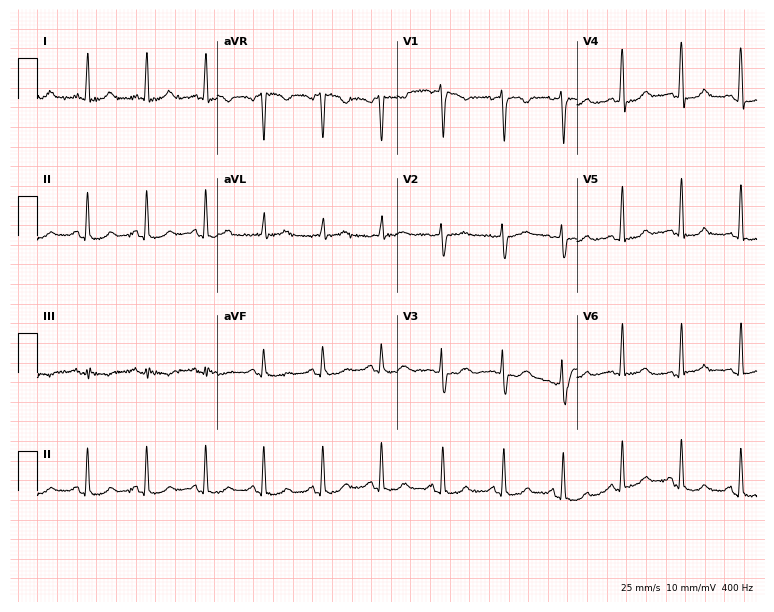
12-lead ECG from a woman, 45 years old. Screened for six findings — first-degree AV block, right bundle branch block (RBBB), left bundle branch block (LBBB), sinus bradycardia, atrial fibrillation (AF), sinus tachycardia — none is recorded.